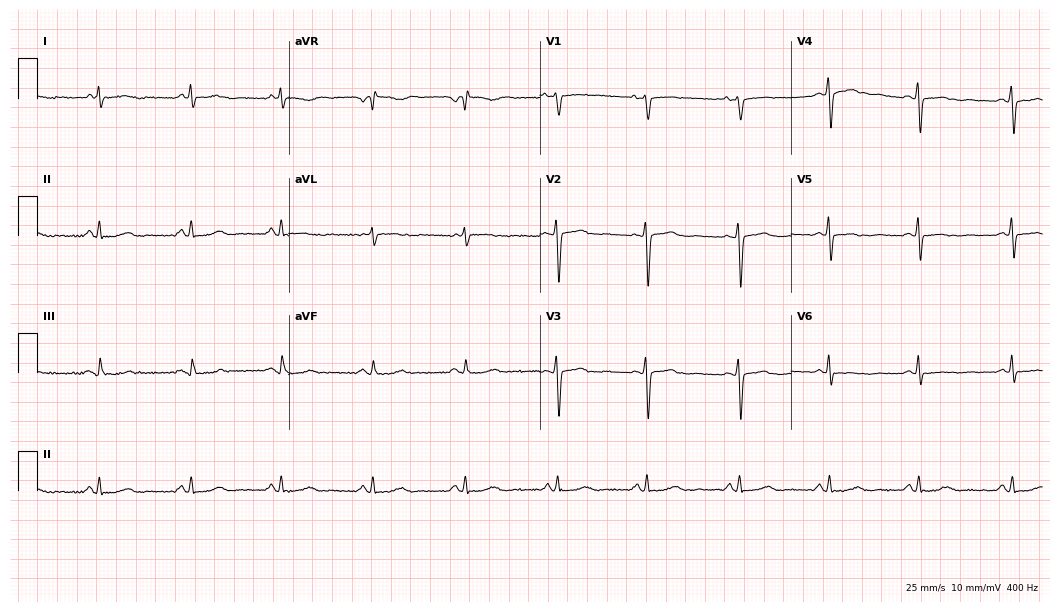
ECG (10.2-second recording at 400 Hz) — a 49-year-old female. Screened for six findings — first-degree AV block, right bundle branch block (RBBB), left bundle branch block (LBBB), sinus bradycardia, atrial fibrillation (AF), sinus tachycardia — none is recorded. Only these six findings were labelled.